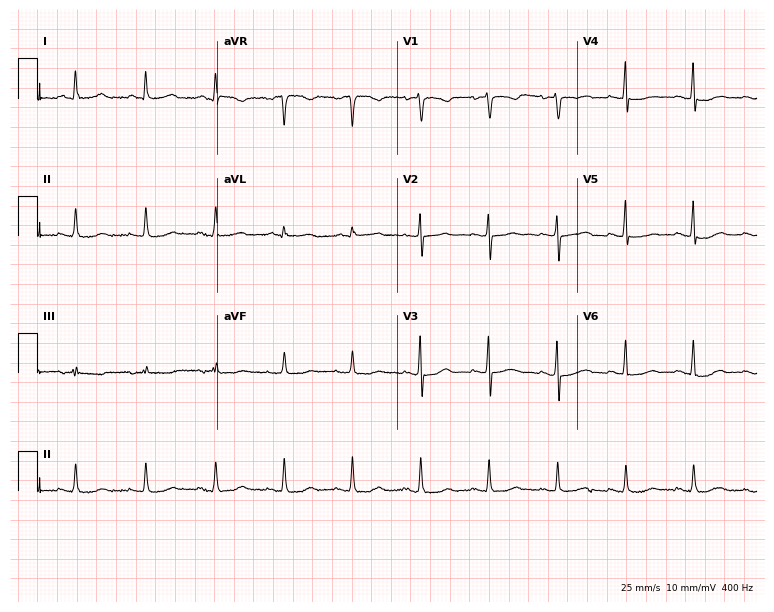
Electrocardiogram, a female patient, 65 years old. Overall reading on record: normal ECG.